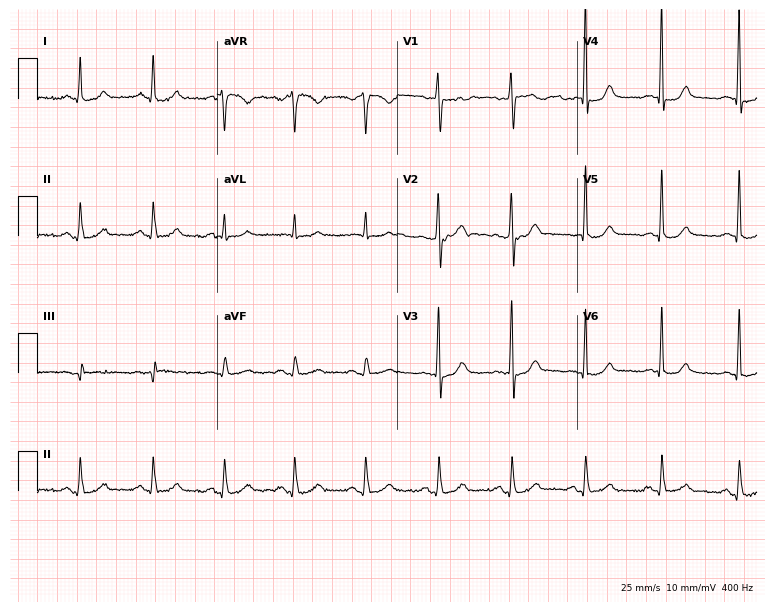
Electrocardiogram (7.3-second recording at 400 Hz), a female patient, 50 years old. Of the six screened findings (first-degree AV block, right bundle branch block, left bundle branch block, sinus bradycardia, atrial fibrillation, sinus tachycardia), none is recorded. Findings outside these six are not listed.